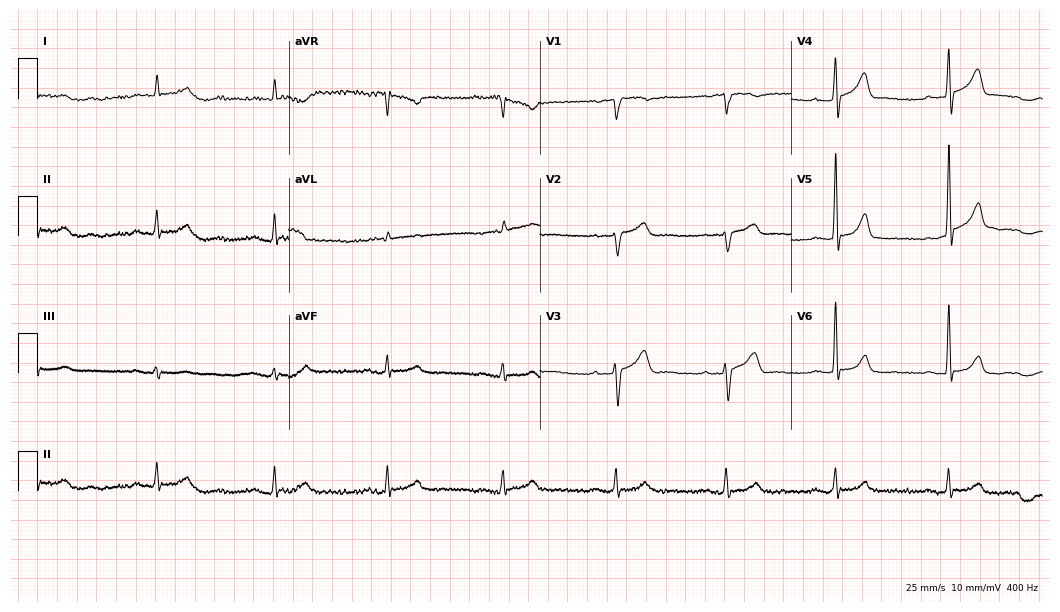
ECG — a male patient, 78 years old. Screened for six findings — first-degree AV block, right bundle branch block (RBBB), left bundle branch block (LBBB), sinus bradycardia, atrial fibrillation (AF), sinus tachycardia — none is recorded. Other findings, if any, are not listed.